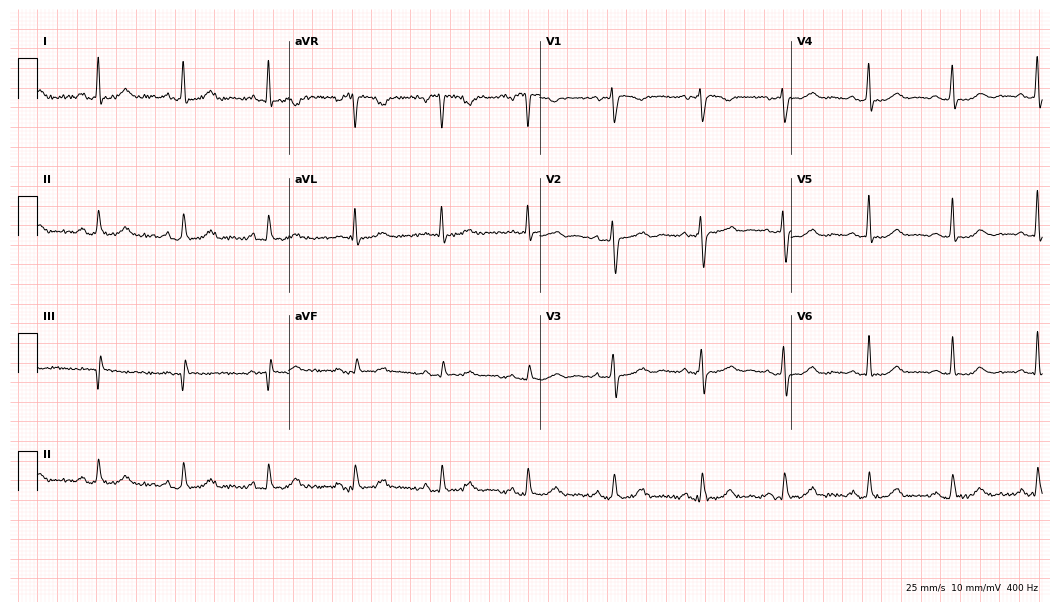
Standard 12-lead ECG recorded from a female patient, 50 years old. Read as a normal ECG.